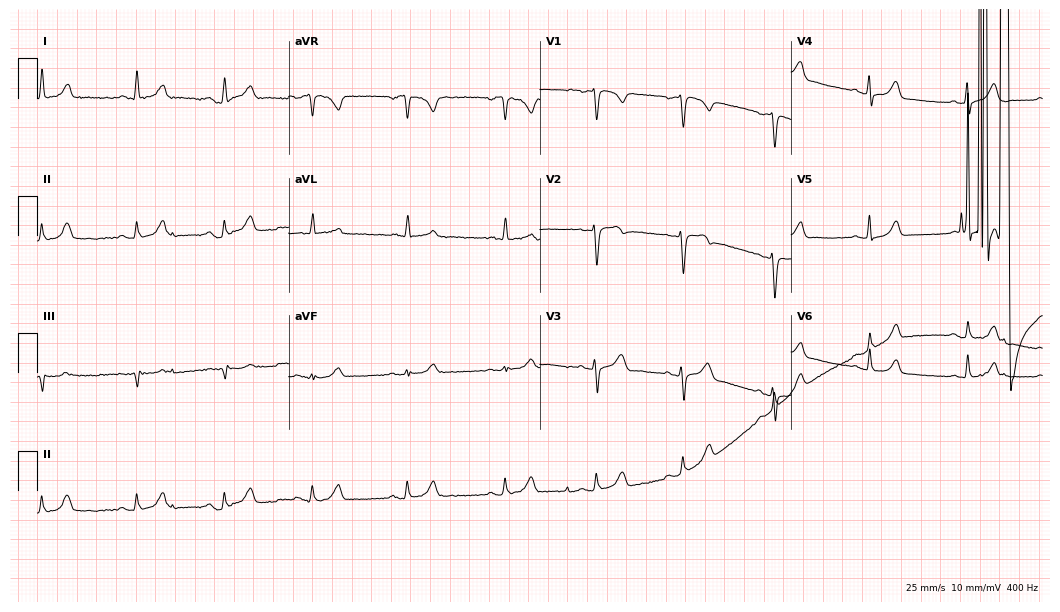
Standard 12-lead ECG recorded from a female patient, 50 years old (10.2-second recording at 400 Hz). None of these six findings is recorded: first-degree AV block, right bundle branch block (RBBB), left bundle branch block (LBBB), sinus bradycardia, atrial fibrillation (AF), sinus tachycardia.